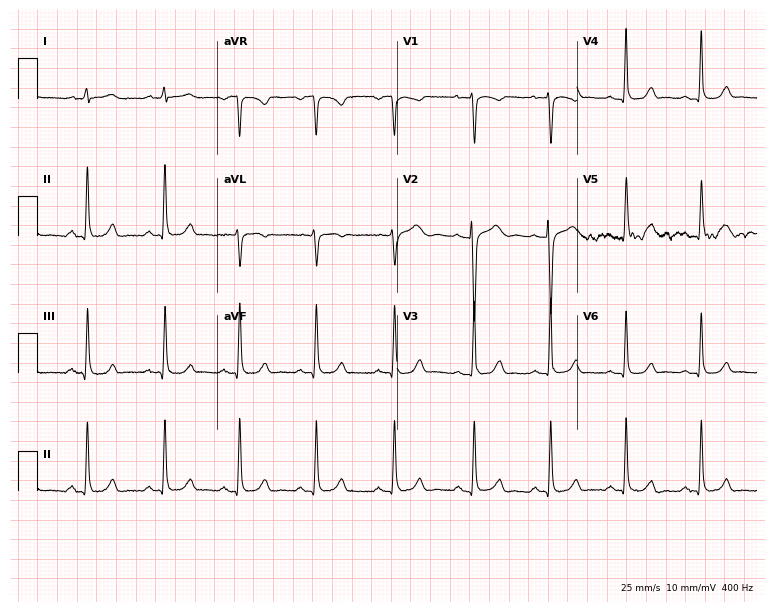
12-lead ECG from a woman, 24 years old (7.3-second recording at 400 Hz). Recorded interpretation: within normal limits.